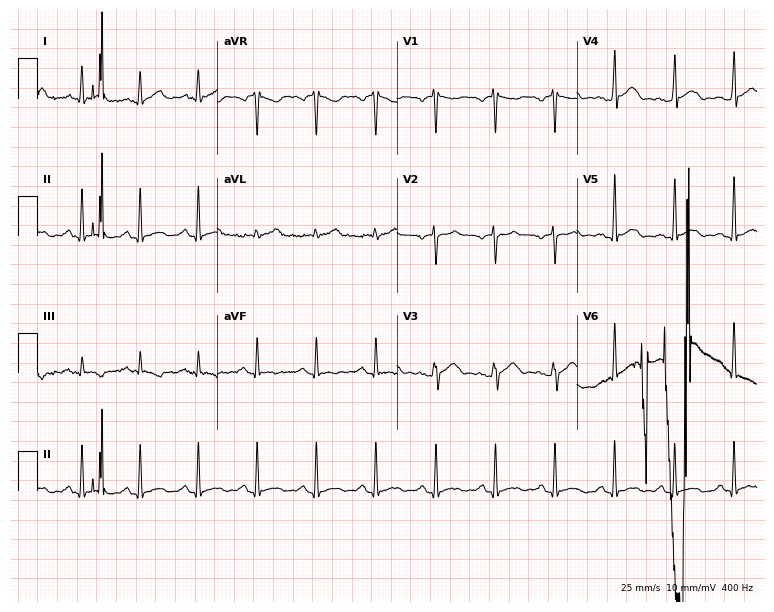
Standard 12-lead ECG recorded from a man, 24 years old (7.3-second recording at 400 Hz). None of these six findings is recorded: first-degree AV block, right bundle branch block (RBBB), left bundle branch block (LBBB), sinus bradycardia, atrial fibrillation (AF), sinus tachycardia.